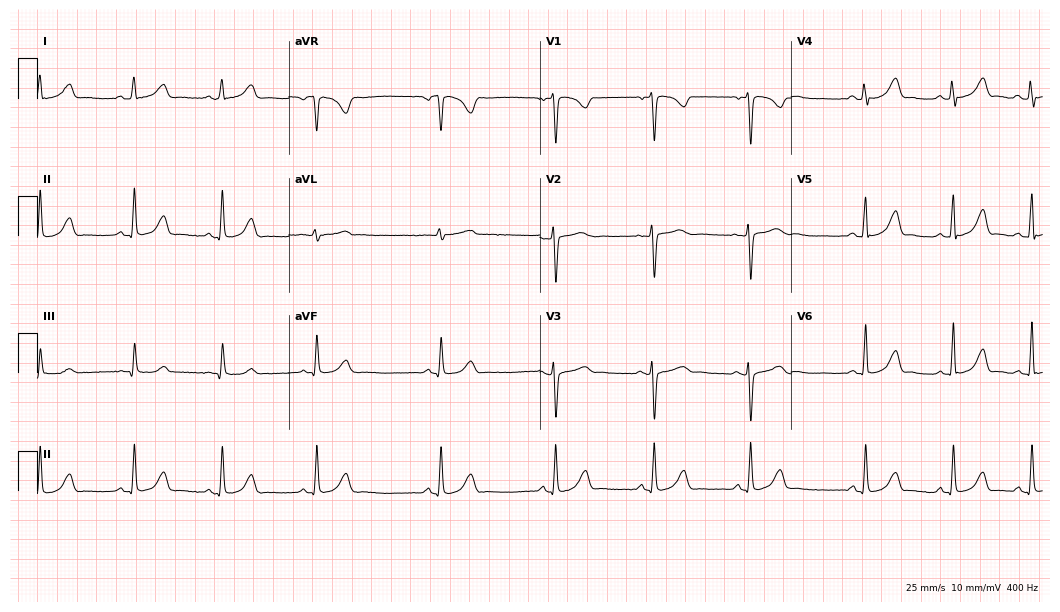
ECG — a 26-year-old female patient. Labelled as a normal ECG.